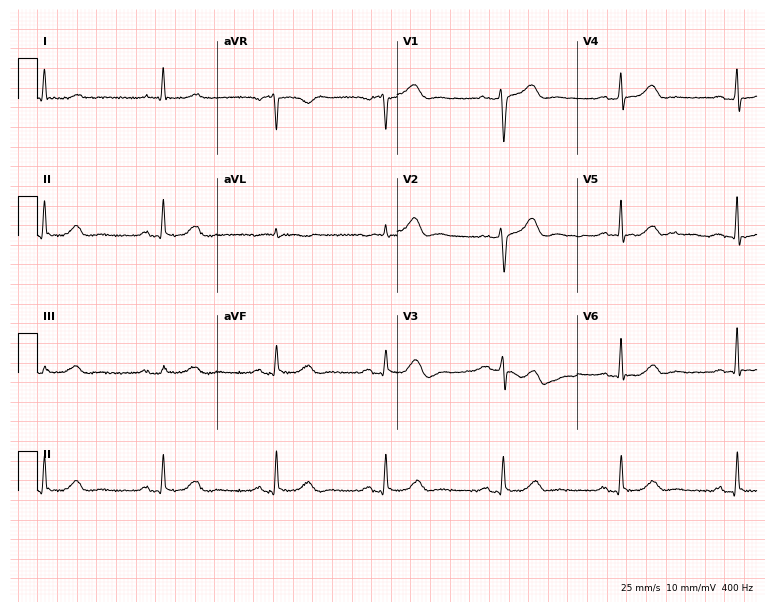
12-lead ECG (7.3-second recording at 400 Hz) from a 65-year-old female. Labelled as a normal ECG.